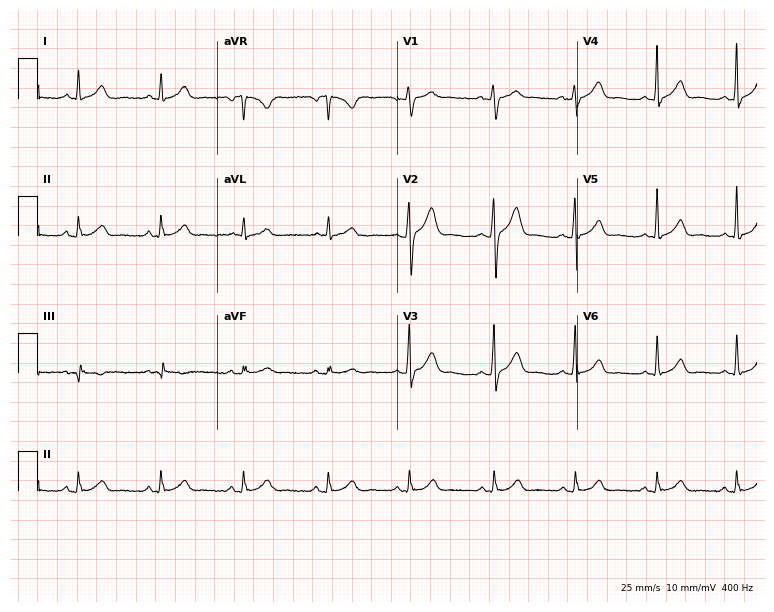
Standard 12-lead ECG recorded from a 19-year-old male (7.3-second recording at 400 Hz). Read as a normal ECG.